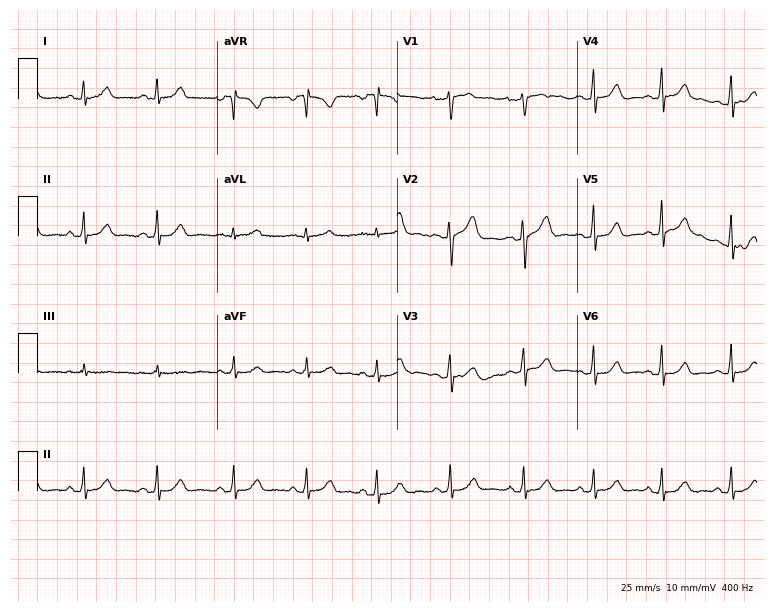
12-lead ECG from a woman, 36 years old. No first-degree AV block, right bundle branch block (RBBB), left bundle branch block (LBBB), sinus bradycardia, atrial fibrillation (AF) or sinus tachycardia recorded for this tracing. Findings outside these six are not listed.